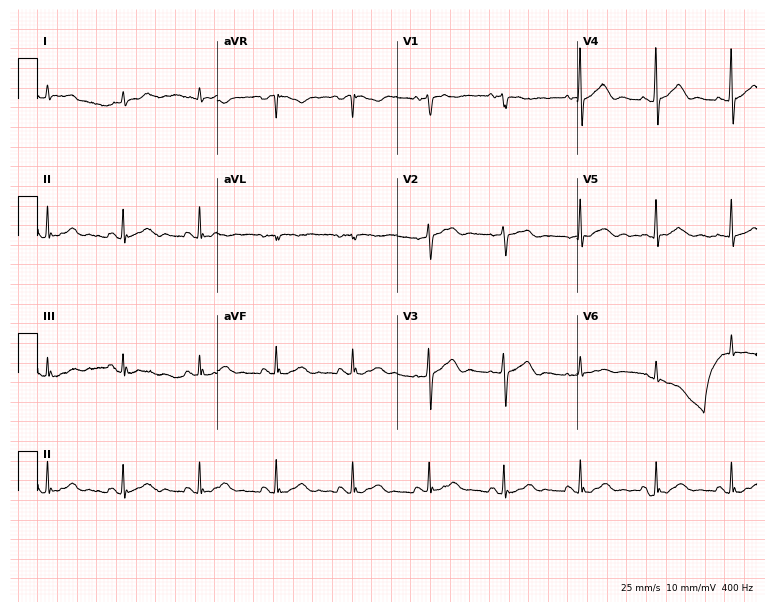
12-lead ECG from a 70-year-old woman (7.3-second recording at 400 Hz). No first-degree AV block, right bundle branch block, left bundle branch block, sinus bradycardia, atrial fibrillation or sinus tachycardia recorded for this tracing. Findings outside these six are not listed.